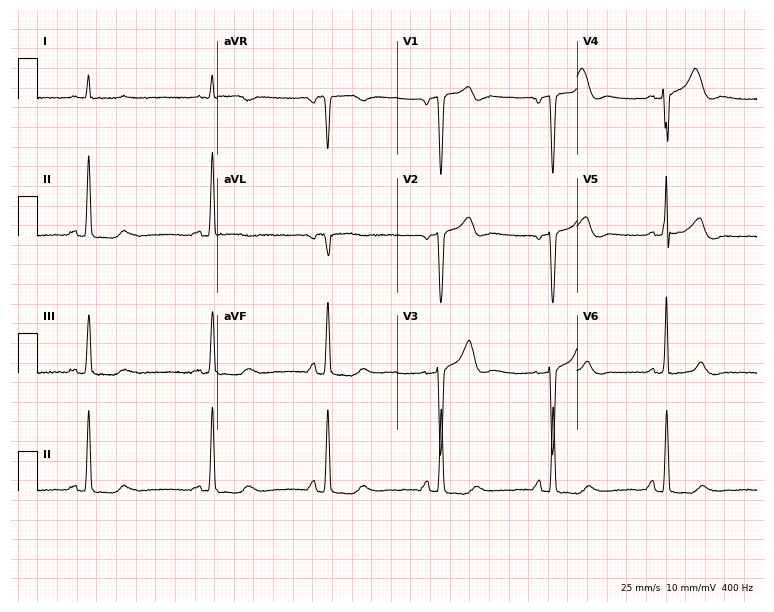
Standard 12-lead ECG recorded from a male, 78 years old (7.3-second recording at 400 Hz). None of these six findings is recorded: first-degree AV block, right bundle branch block (RBBB), left bundle branch block (LBBB), sinus bradycardia, atrial fibrillation (AF), sinus tachycardia.